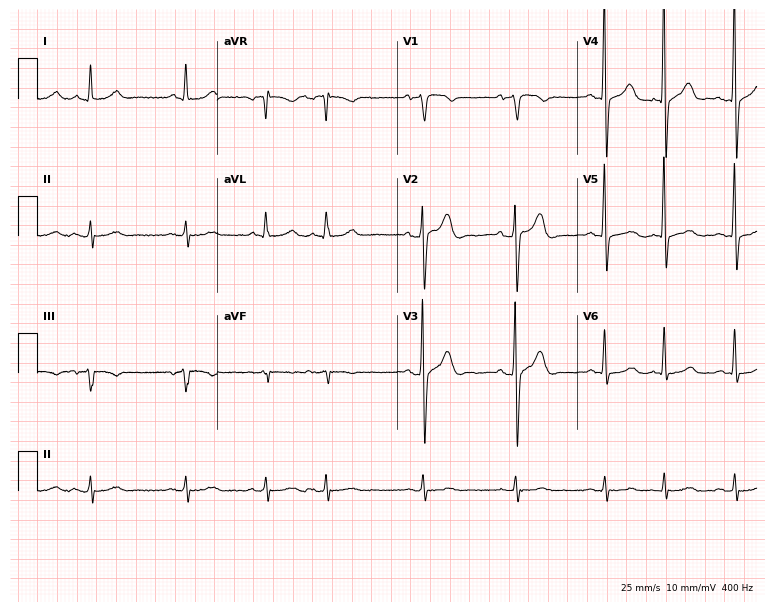
Electrocardiogram (7.3-second recording at 400 Hz), a male patient, 77 years old. Of the six screened findings (first-degree AV block, right bundle branch block (RBBB), left bundle branch block (LBBB), sinus bradycardia, atrial fibrillation (AF), sinus tachycardia), none is recorded.